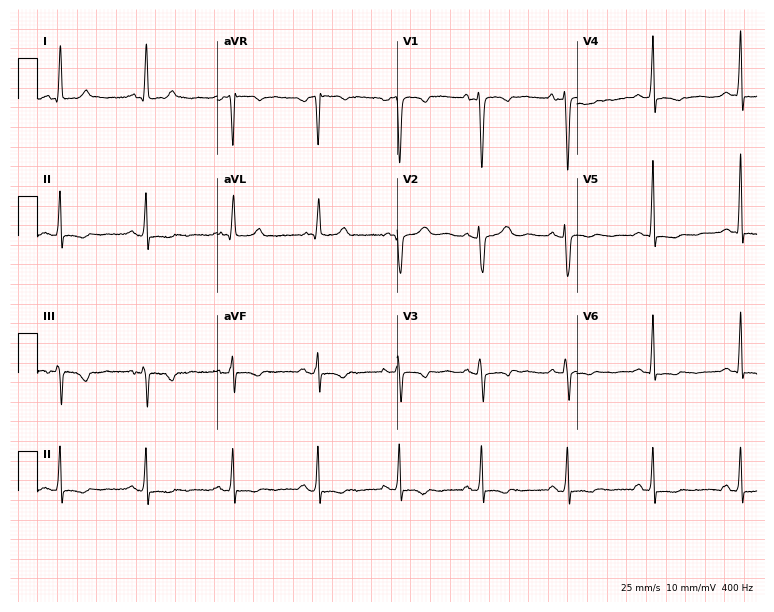
12-lead ECG from a female, 31 years old. Screened for six findings — first-degree AV block, right bundle branch block, left bundle branch block, sinus bradycardia, atrial fibrillation, sinus tachycardia — none is recorded.